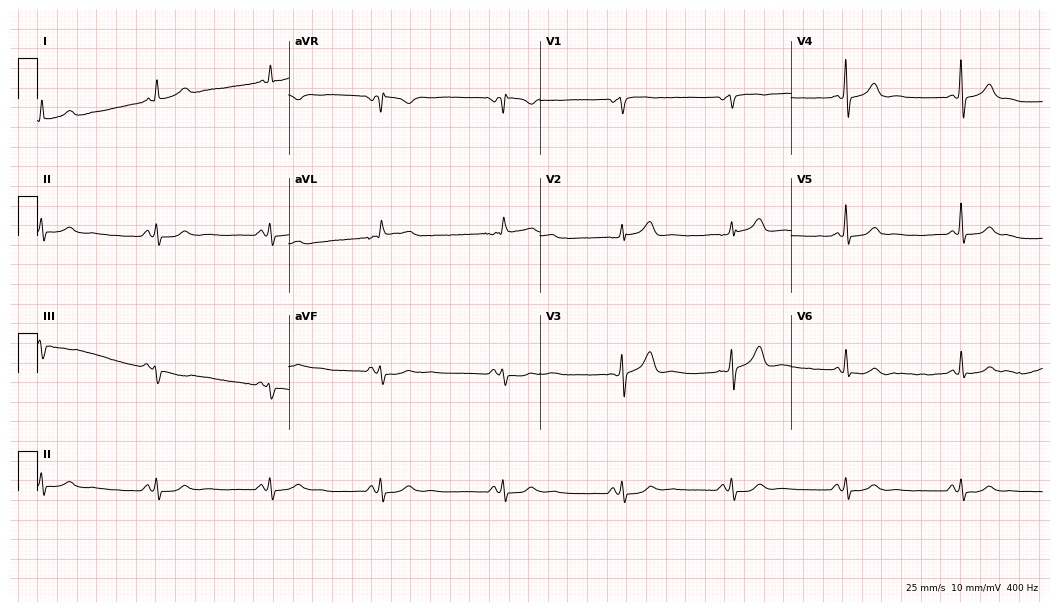
Resting 12-lead electrocardiogram (10.2-second recording at 400 Hz). Patient: a 75-year-old male. Read as a normal ECG.